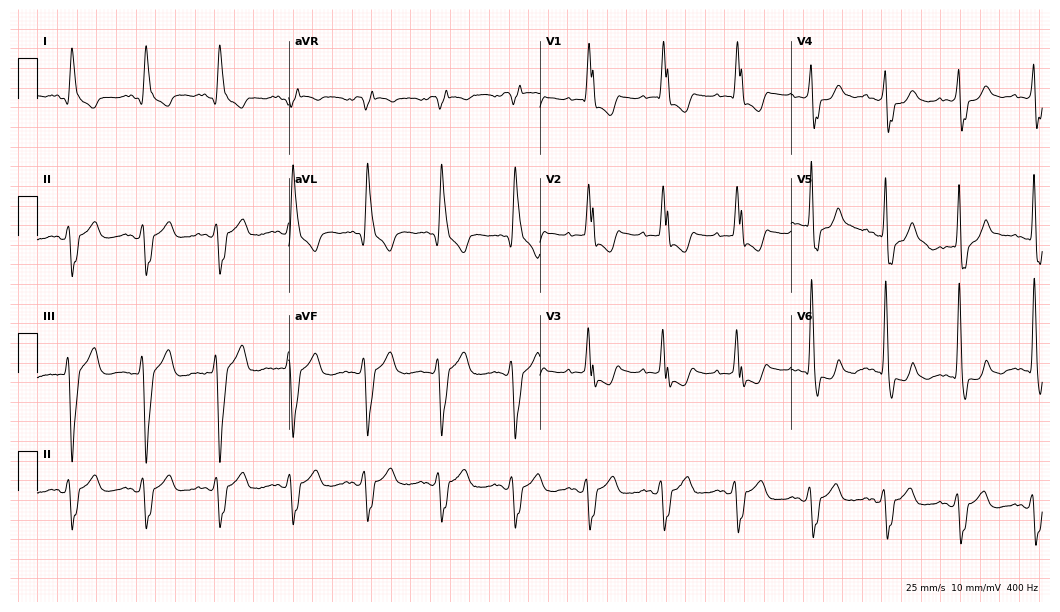
12-lead ECG from a 70-year-old female. Shows right bundle branch block.